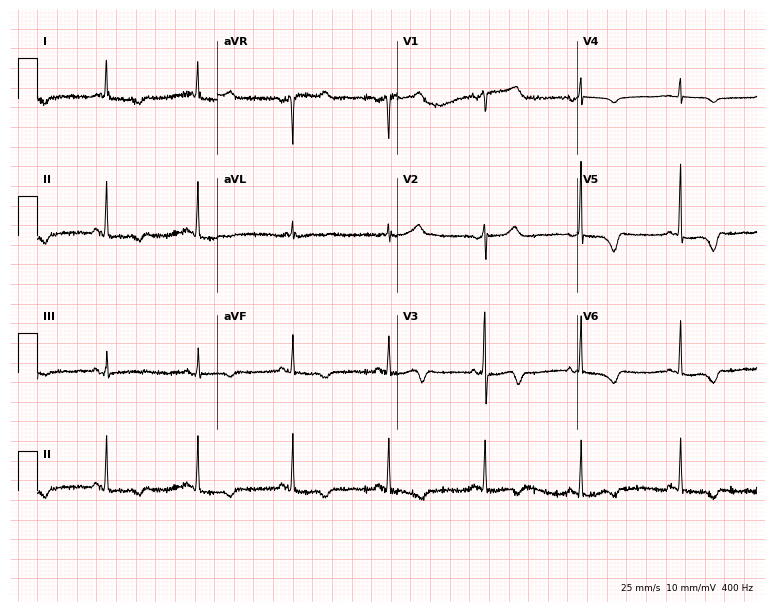
12-lead ECG from a 70-year-old female patient. No first-degree AV block, right bundle branch block (RBBB), left bundle branch block (LBBB), sinus bradycardia, atrial fibrillation (AF) or sinus tachycardia recorded for this tracing.